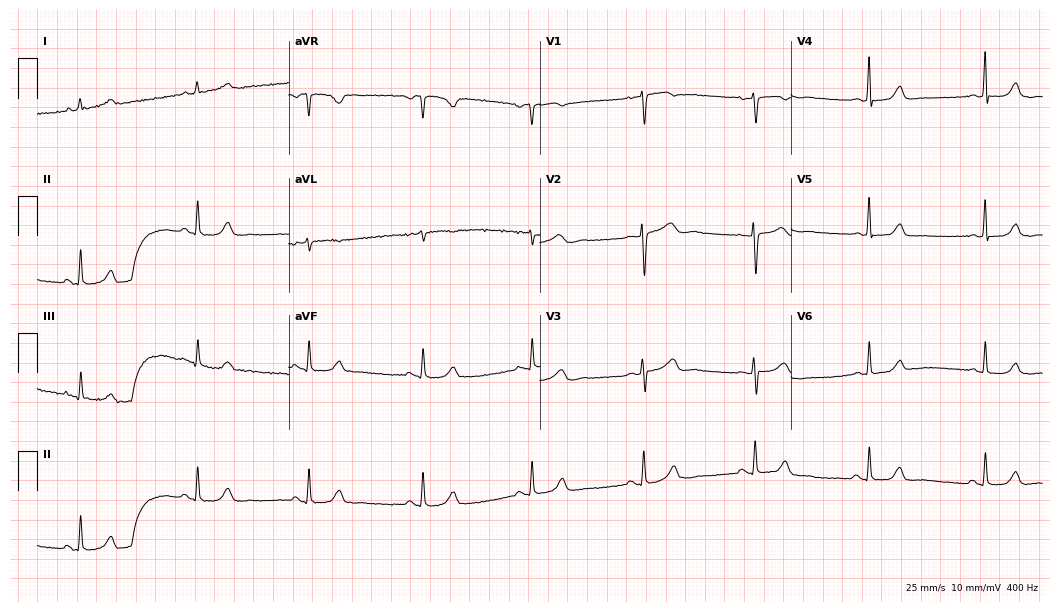
12-lead ECG from a woman, 66 years old. Recorded interpretation: within normal limits.